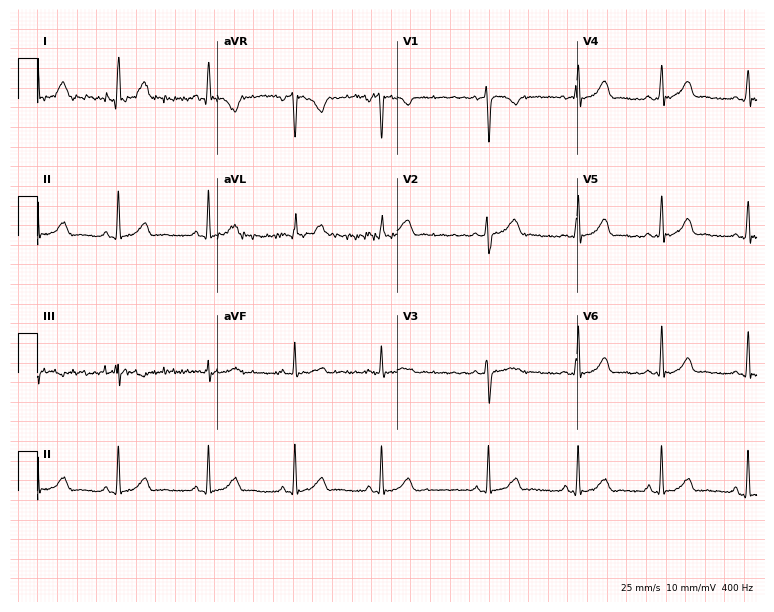
Standard 12-lead ECG recorded from a 33-year-old woman (7.3-second recording at 400 Hz). Read as a normal ECG.